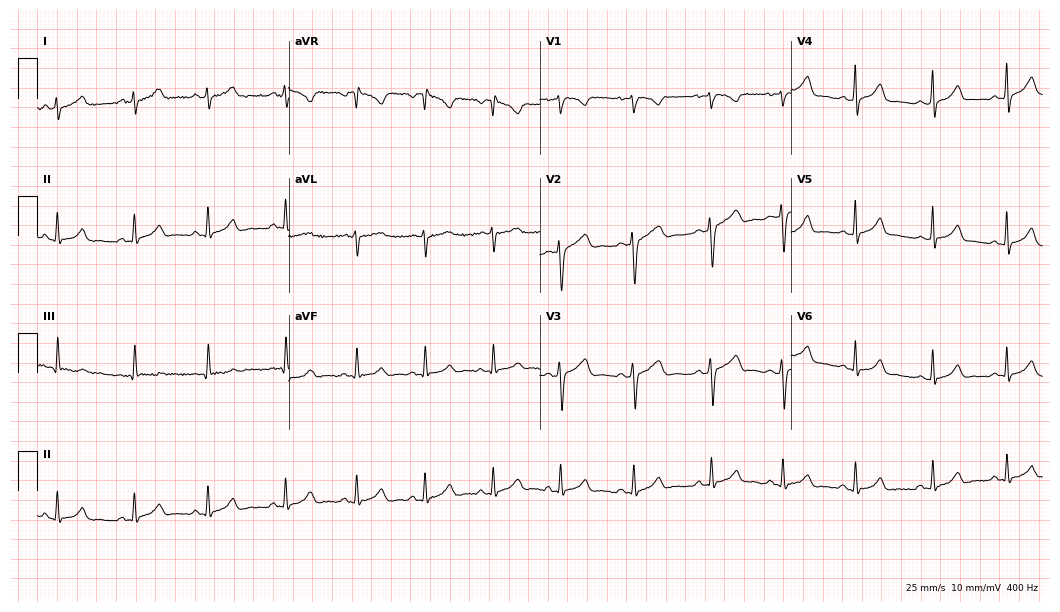
Electrocardiogram (10.2-second recording at 400 Hz), a female, 19 years old. Overall reading on record: normal ECG.